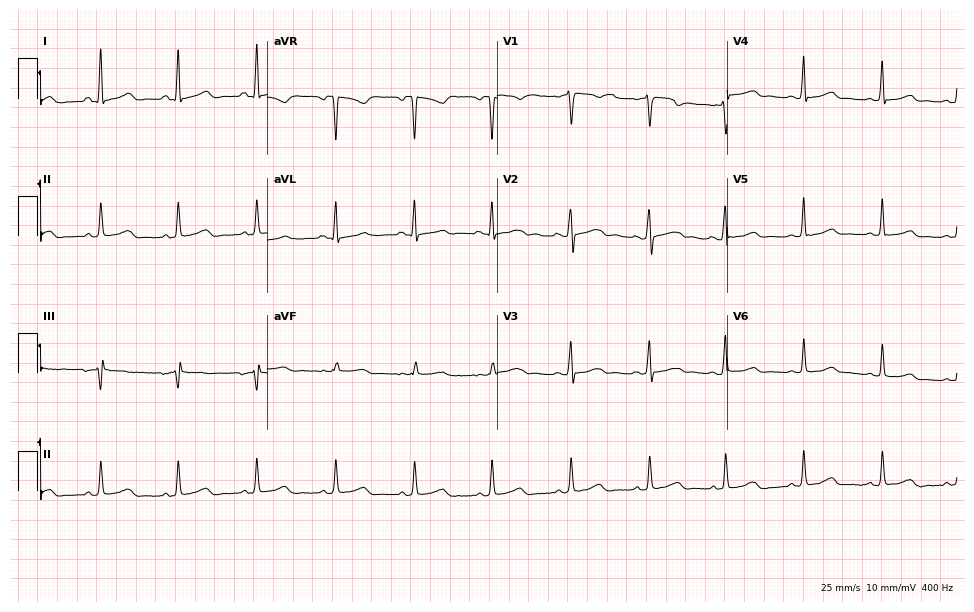
Standard 12-lead ECG recorded from a female, 27 years old (9.4-second recording at 400 Hz). Read as a normal ECG.